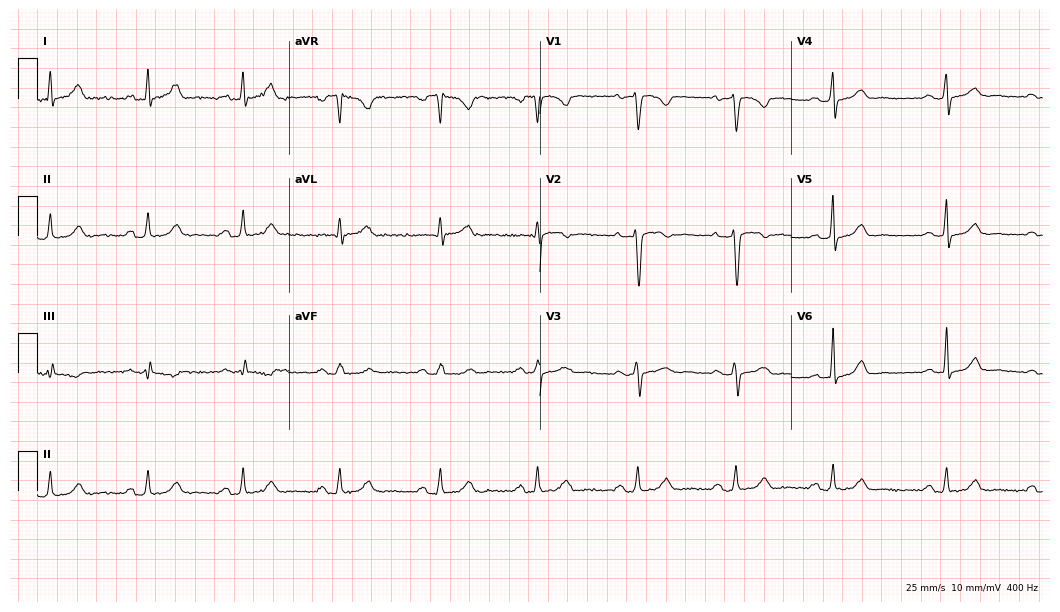
ECG (10.2-second recording at 400 Hz) — a 47-year-old female patient. Labelled as a normal ECG.